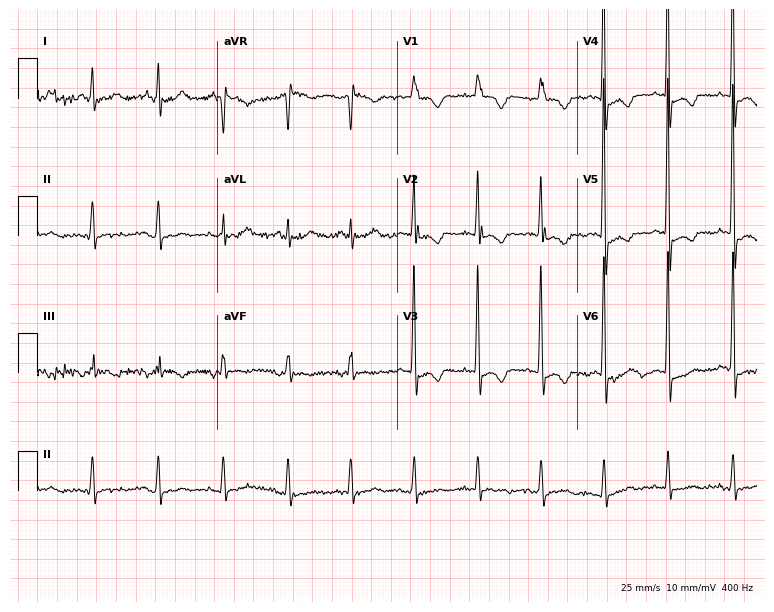
Electrocardiogram (7.3-second recording at 400 Hz), an 87-year-old female. Of the six screened findings (first-degree AV block, right bundle branch block, left bundle branch block, sinus bradycardia, atrial fibrillation, sinus tachycardia), none is recorded.